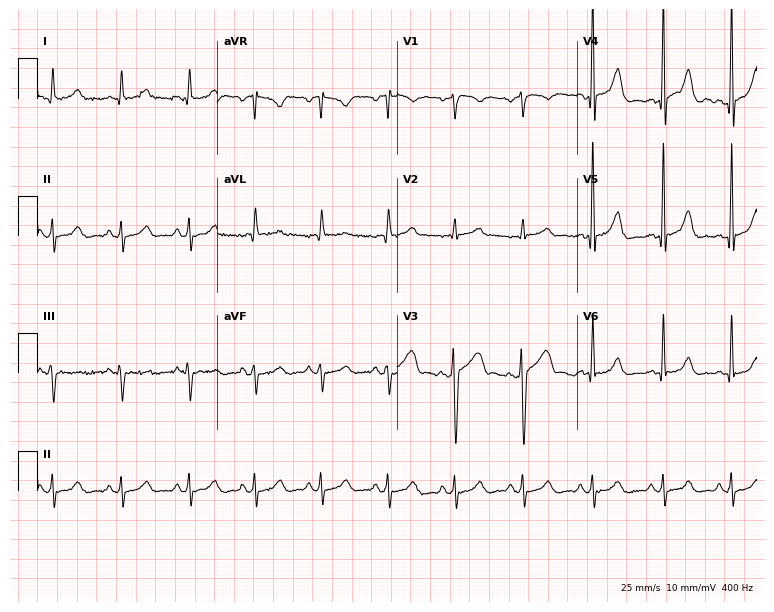
Resting 12-lead electrocardiogram (7.3-second recording at 400 Hz). Patient: a male, 51 years old. Read as a normal ECG.